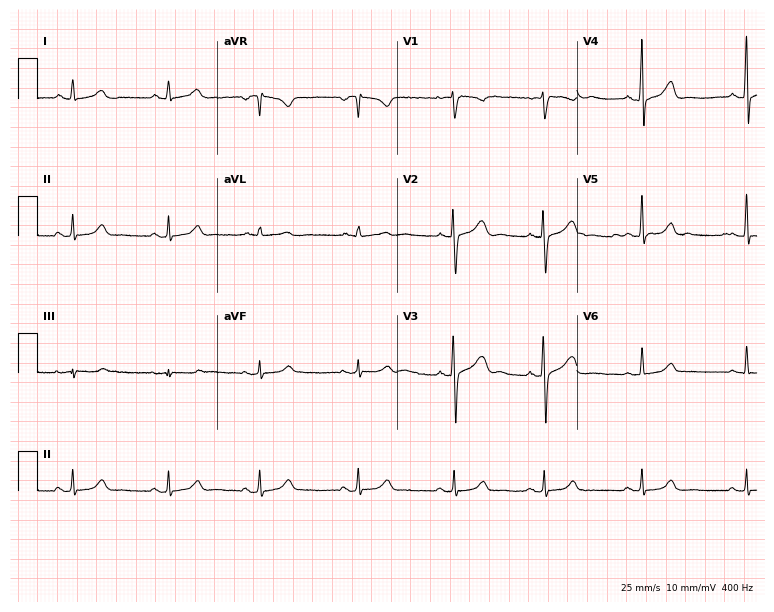
Standard 12-lead ECG recorded from a female, 27 years old (7.3-second recording at 400 Hz). Read as a normal ECG.